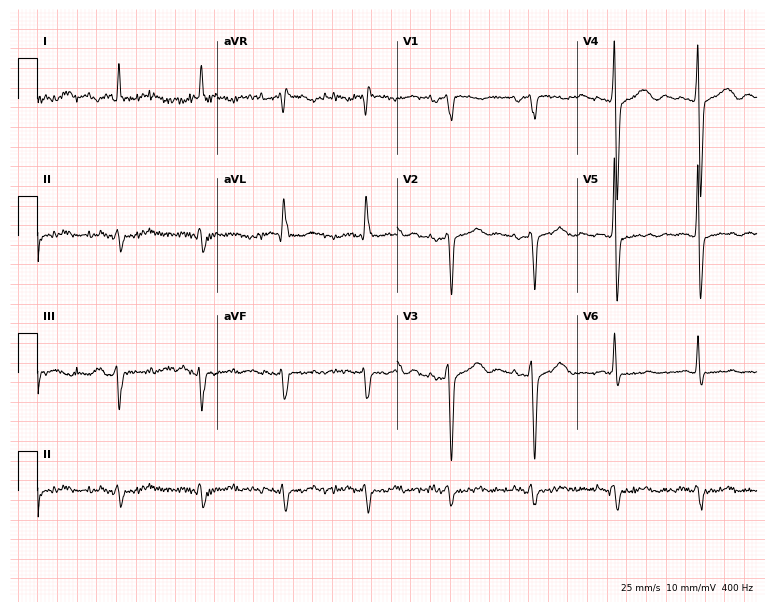
Electrocardiogram (7.3-second recording at 400 Hz), a 74-year-old male patient. Of the six screened findings (first-degree AV block, right bundle branch block, left bundle branch block, sinus bradycardia, atrial fibrillation, sinus tachycardia), none is recorded. Other findings, if any, are not listed.